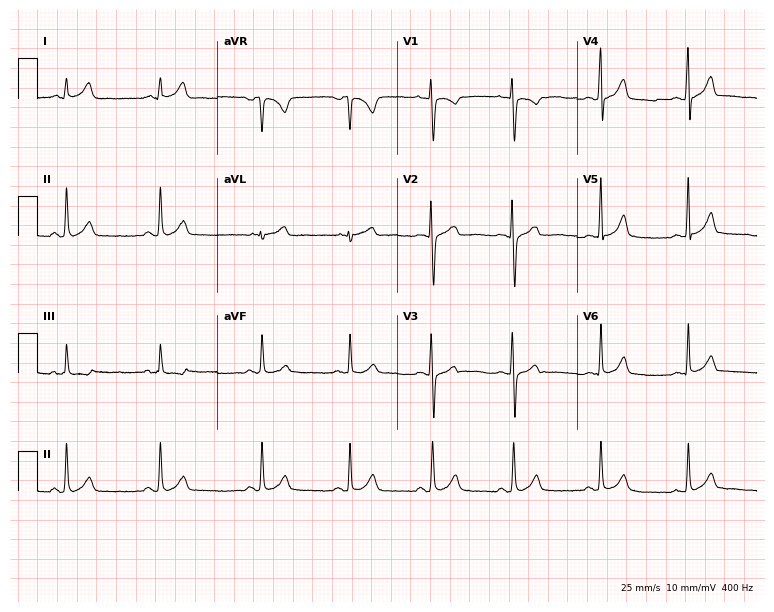
12-lead ECG from a 27-year-old female patient. No first-degree AV block, right bundle branch block, left bundle branch block, sinus bradycardia, atrial fibrillation or sinus tachycardia recorded for this tracing. Only these six findings were labelled.